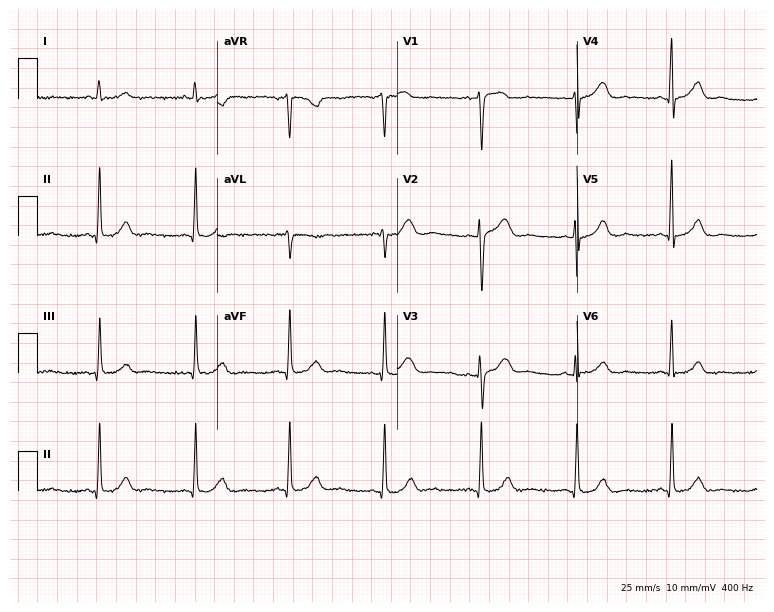
ECG (7.3-second recording at 400 Hz) — a woman, 63 years old. Labelled as a normal ECG.